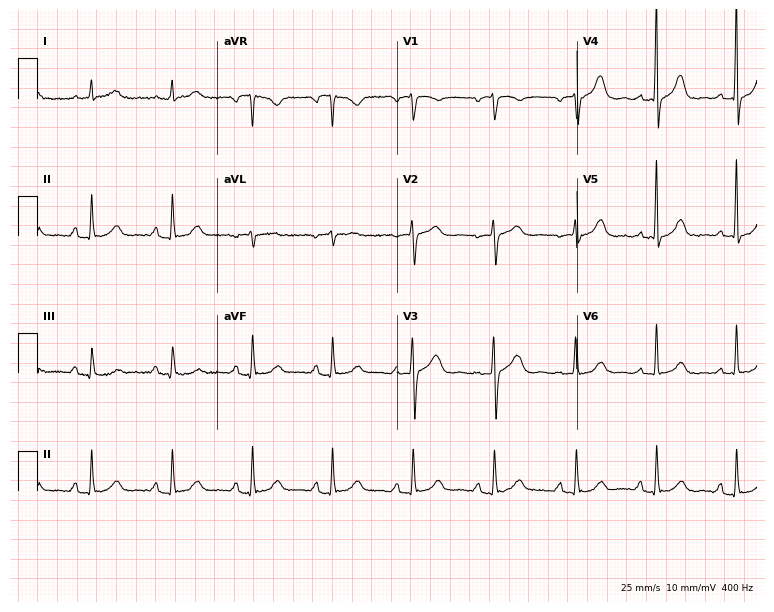
Standard 12-lead ECG recorded from a 71-year-old female. None of these six findings is recorded: first-degree AV block, right bundle branch block, left bundle branch block, sinus bradycardia, atrial fibrillation, sinus tachycardia.